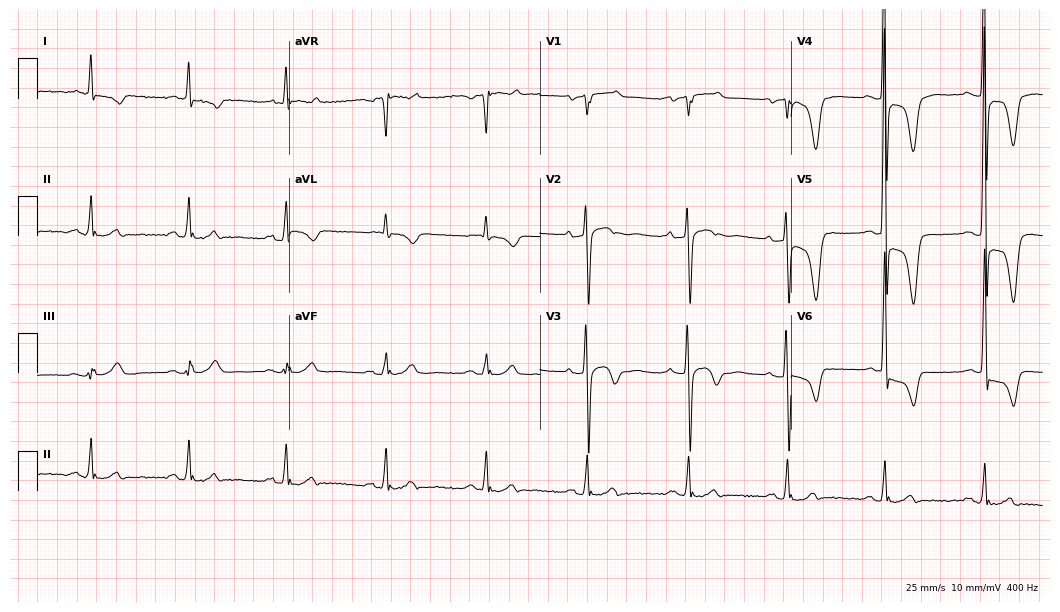
Standard 12-lead ECG recorded from a male patient, 36 years old (10.2-second recording at 400 Hz). None of these six findings is recorded: first-degree AV block, right bundle branch block, left bundle branch block, sinus bradycardia, atrial fibrillation, sinus tachycardia.